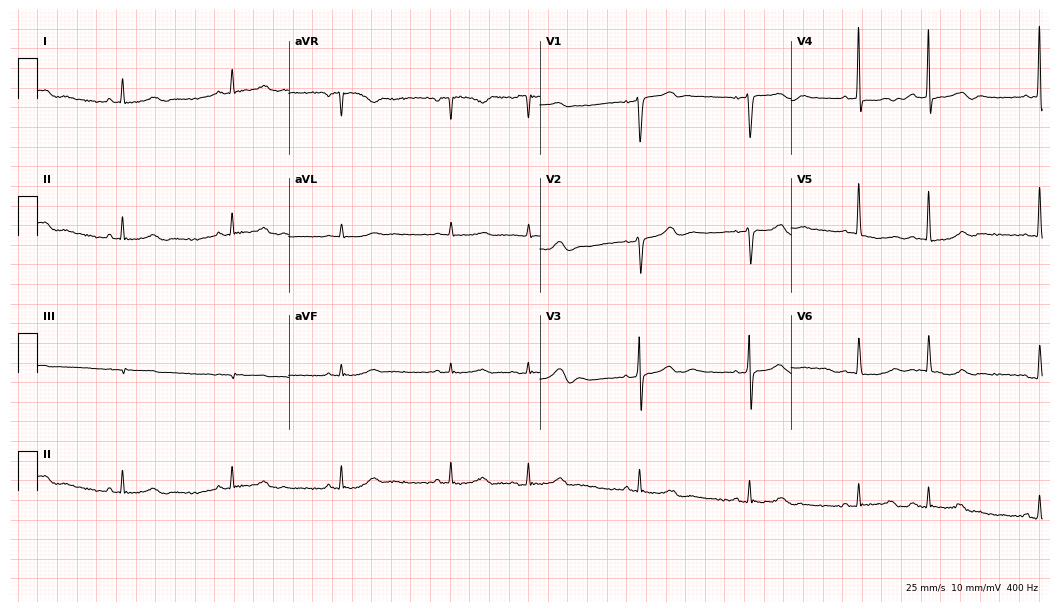
Resting 12-lead electrocardiogram. Patient: a female, 72 years old. None of these six findings is recorded: first-degree AV block, right bundle branch block (RBBB), left bundle branch block (LBBB), sinus bradycardia, atrial fibrillation (AF), sinus tachycardia. Only these six findings were labelled.